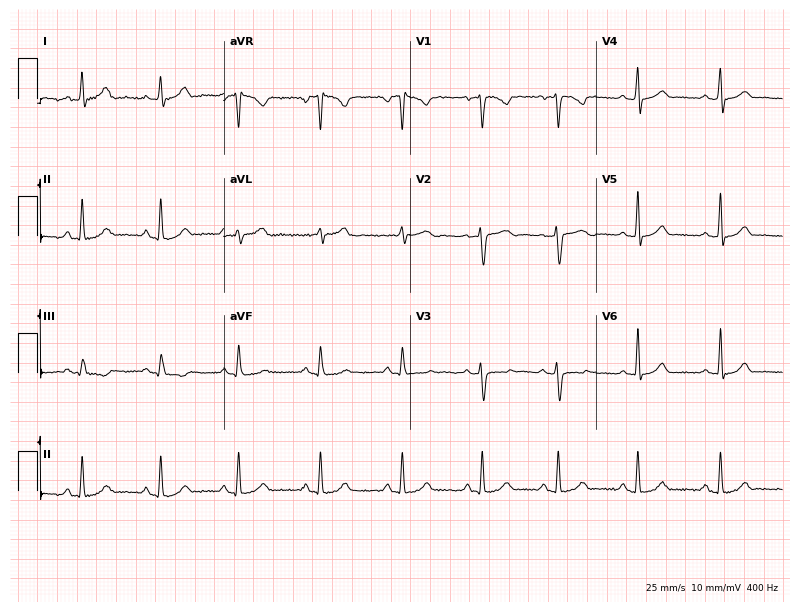
ECG (7.6-second recording at 400 Hz) — a female, 38 years old. Labelled as a normal ECG.